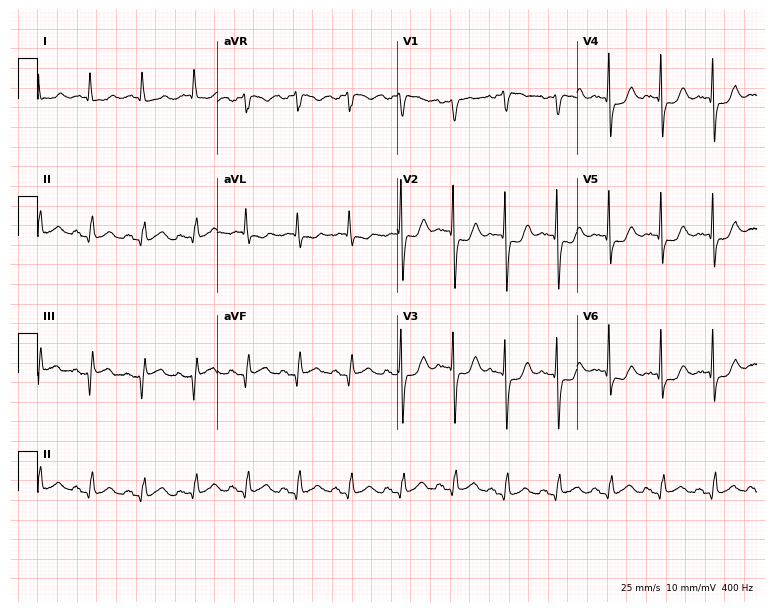
Electrocardiogram, a female patient, 89 years old. Interpretation includes sinus tachycardia (a sinus rate of 100 beats per minute or more).